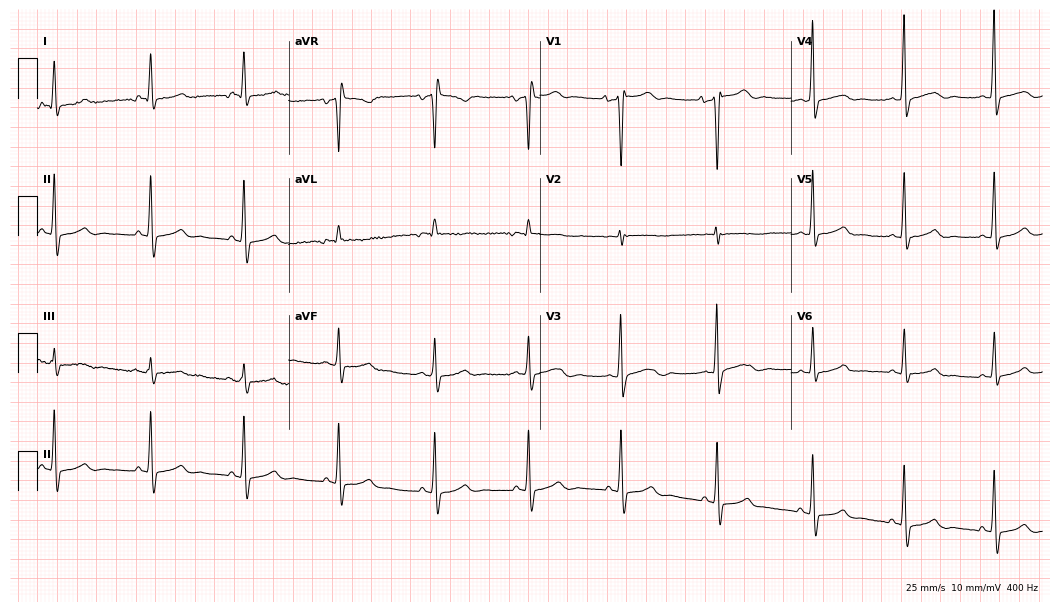
Standard 12-lead ECG recorded from a 22-year-old woman (10.2-second recording at 400 Hz). None of these six findings is recorded: first-degree AV block, right bundle branch block, left bundle branch block, sinus bradycardia, atrial fibrillation, sinus tachycardia. Only these six findings were labelled.